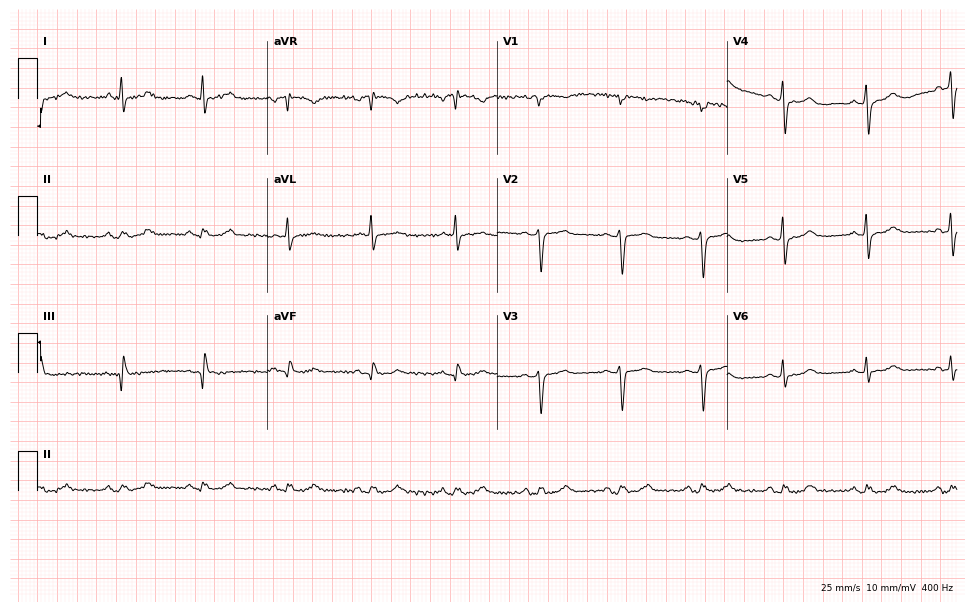
Standard 12-lead ECG recorded from a woman, 58 years old. None of these six findings is recorded: first-degree AV block, right bundle branch block (RBBB), left bundle branch block (LBBB), sinus bradycardia, atrial fibrillation (AF), sinus tachycardia. Only these six findings were labelled.